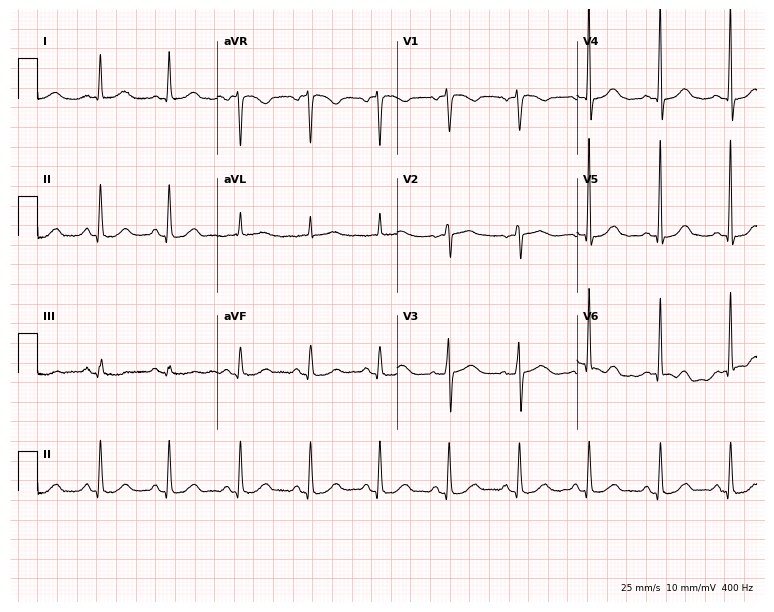
Standard 12-lead ECG recorded from a woman, 62 years old (7.3-second recording at 400 Hz). Read as a normal ECG.